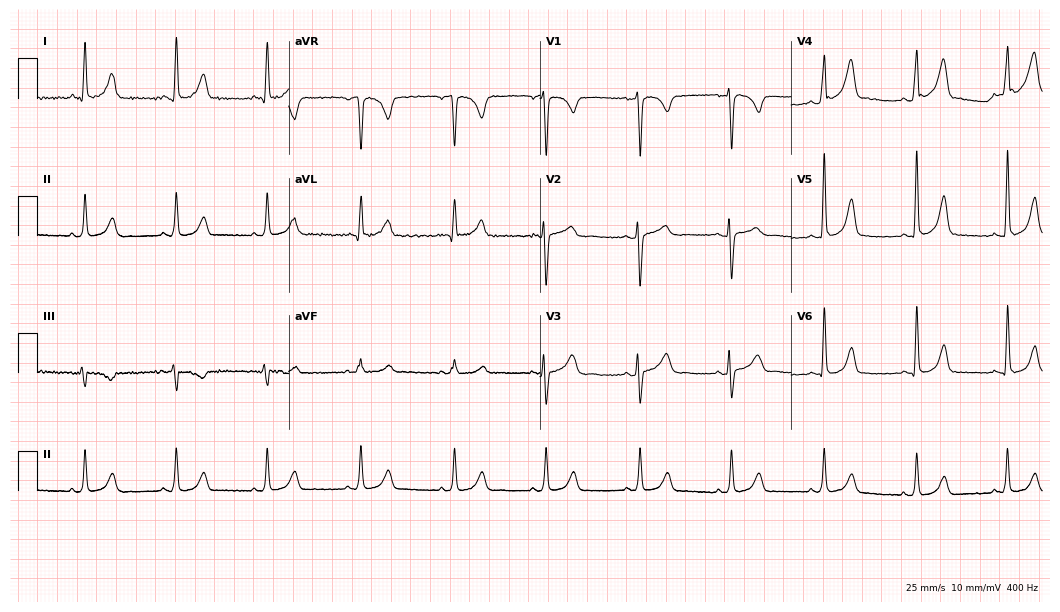
Electrocardiogram (10.2-second recording at 400 Hz), a 29-year-old female patient. Overall reading on record: normal ECG.